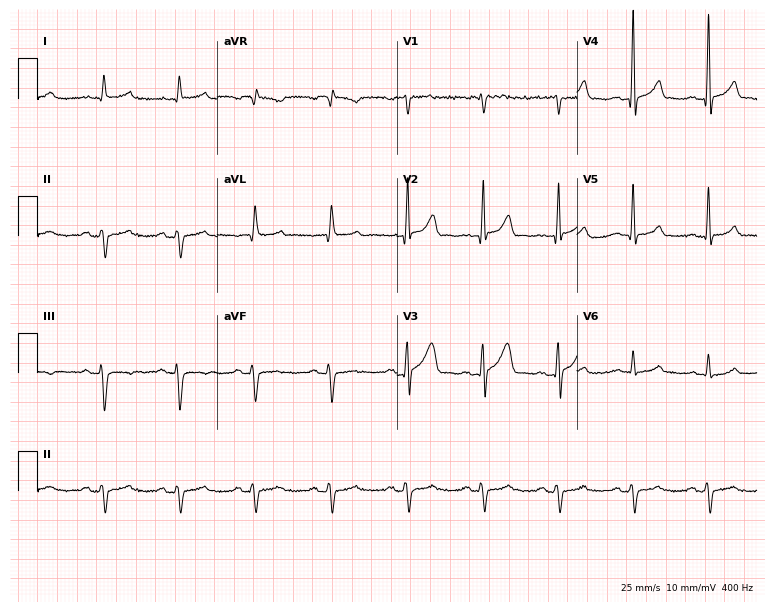
12-lead ECG from a 69-year-old male (7.3-second recording at 400 Hz). No first-degree AV block, right bundle branch block, left bundle branch block, sinus bradycardia, atrial fibrillation or sinus tachycardia recorded for this tracing. Other findings, if any, are not listed.